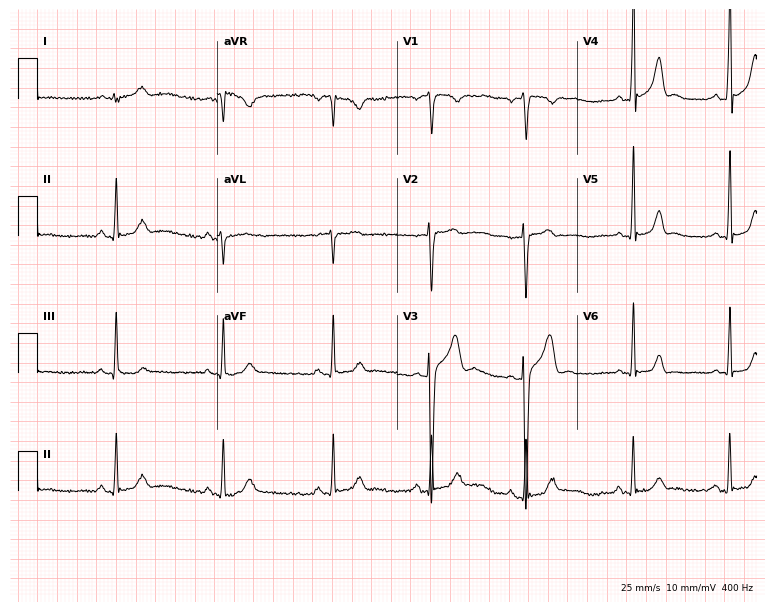
Electrocardiogram, a male patient, 19 years old. Overall reading on record: normal ECG.